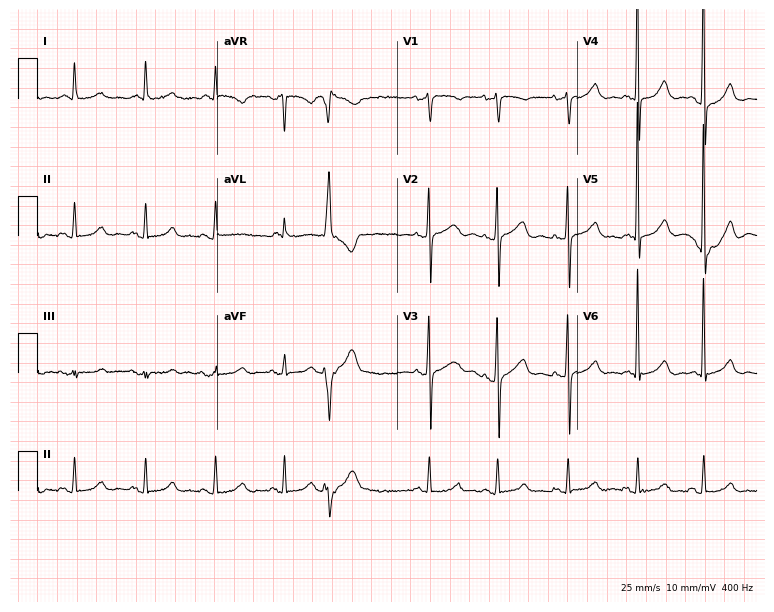
ECG — a 77-year-old woman. Screened for six findings — first-degree AV block, right bundle branch block, left bundle branch block, sinus bradycardia, atrial fibrillation, sinus tachycardia — none is recorded.